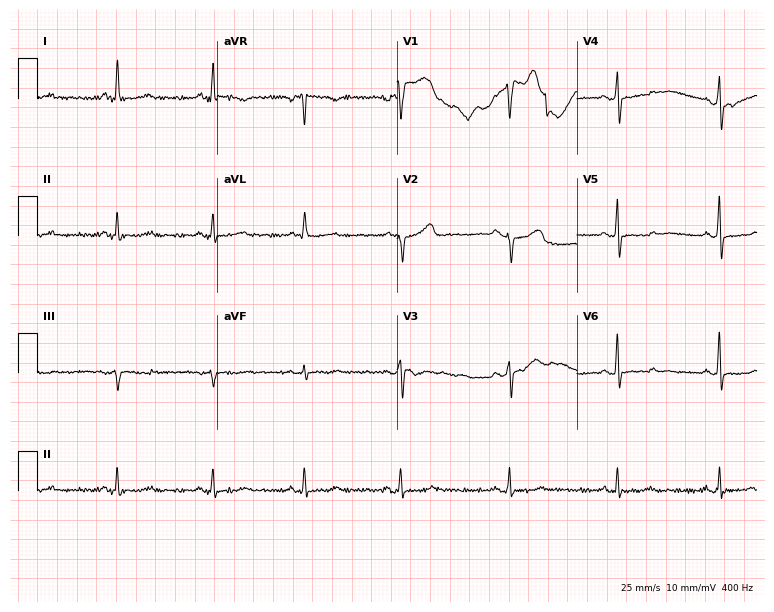
12-lead ECG from a woman, 54 years old. Screened for six findings — first-degree AV block, right bundle branch block (RBBB), left bundle branch block (LBBB), sinus bradycardia, atrial fibrillation (AF), sinus tachycardia — none is recorded. Only these six findings were labelled.